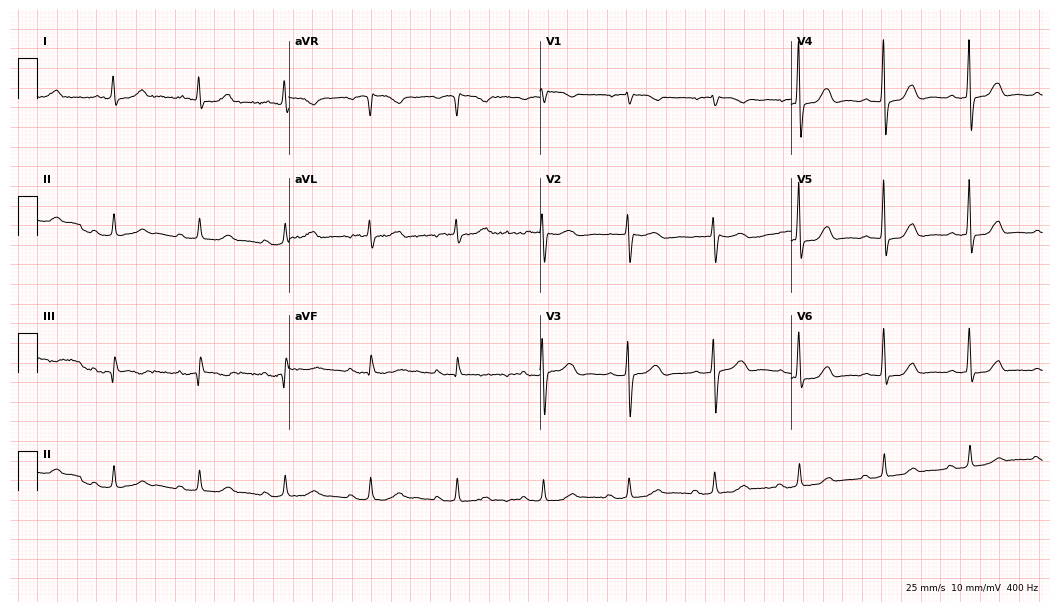
Electrocardiogram, a female, 79 years old. Overall reading on record: normal ECG.